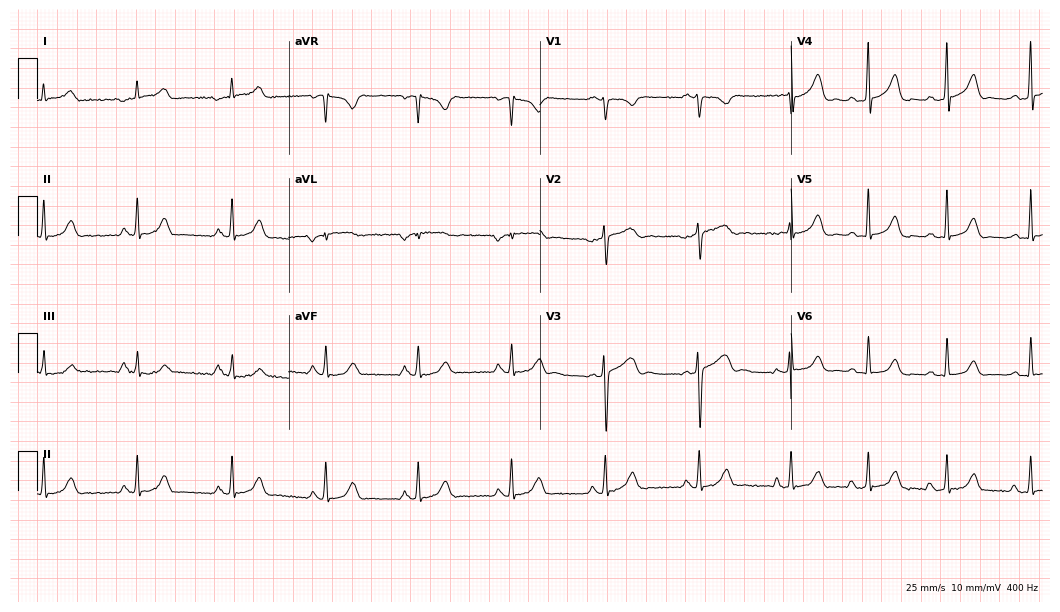
12-lead ECG from a 22-year-old woman. Labelled as a normal ECG.